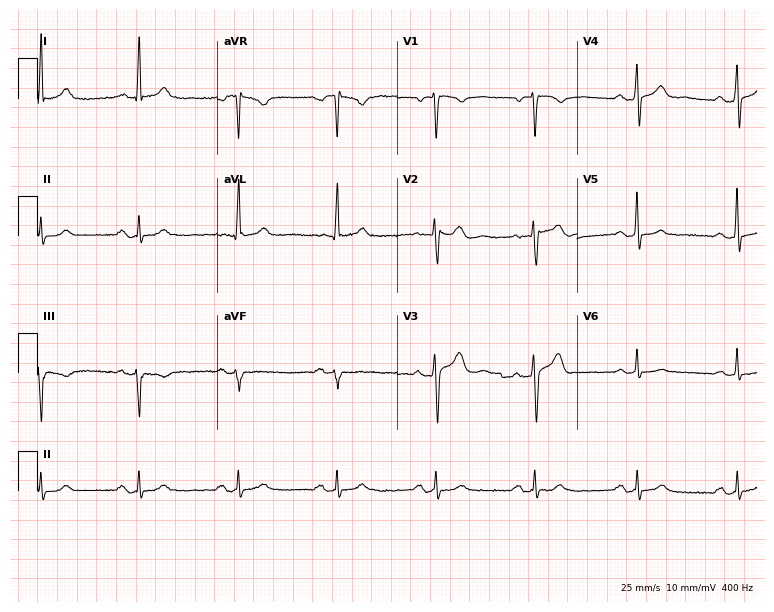
ECG (7.3-second recording at 400 Hz) — a 63-year-old man. Labelled as a normal ECG.